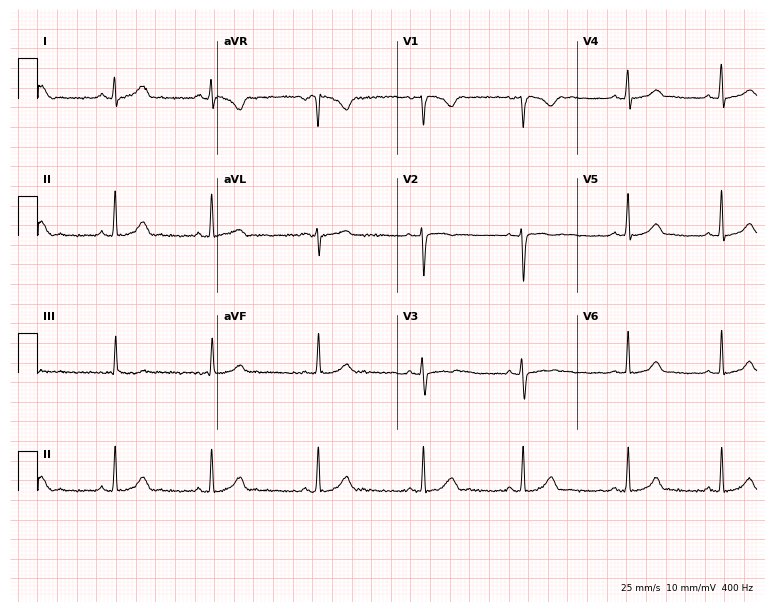
12-lead ECG from a 27-year-old woman (7.3-second recording at 400 Hz). Recorded interpretation: within normal limits.